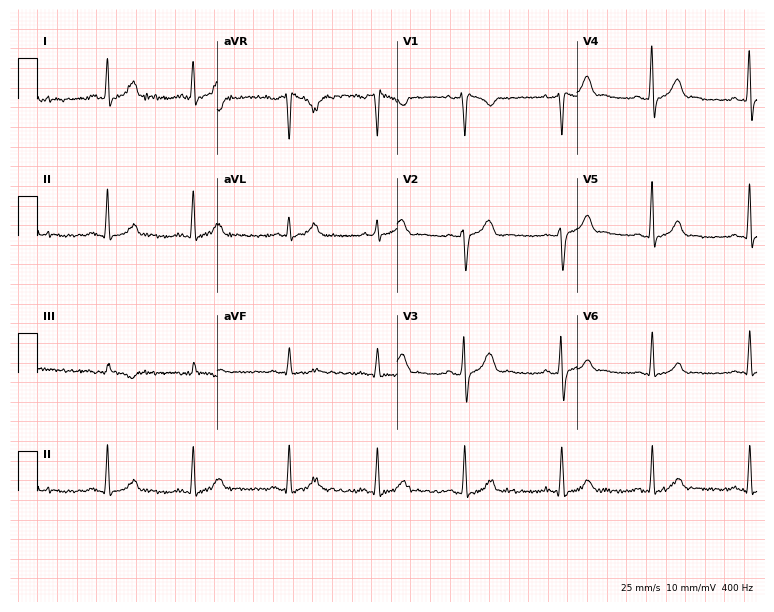
Resting 12-lead electrocardiogram (7.3-second recording at 400 Hz). Patient: a man, 30 years old. Read as a normal ECG.